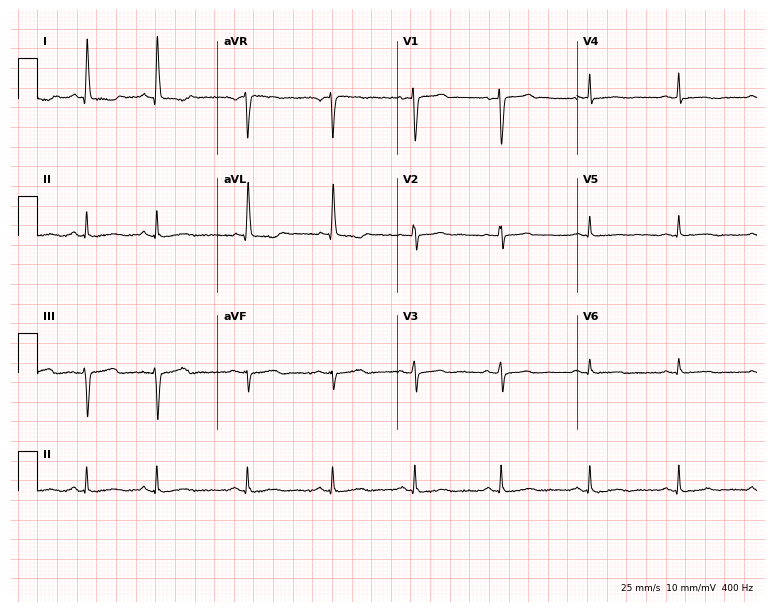
Electrocardiogram (7.3-second recording at 400 Hz), a 58-year-old female patient. Of the six screened findings (first-degree AV block, right bundle branch block, left bundle branch block, sinus bradycardia, atrial fibrillation, sinus tachycardia), none is recorded.